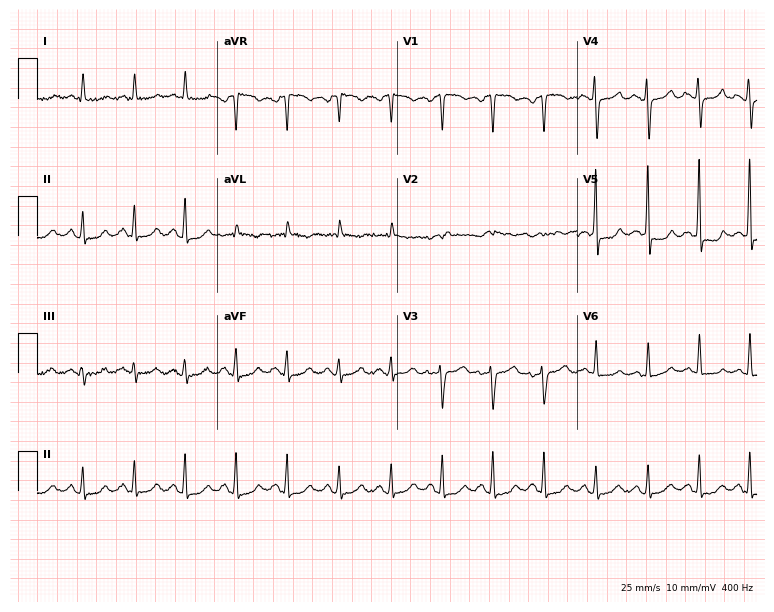
Standard 12-lead ECG recorded from a 73-year-old female patient. The tracing shows sinus tachycardia (a sinus rate of 100 beats per minute or more).